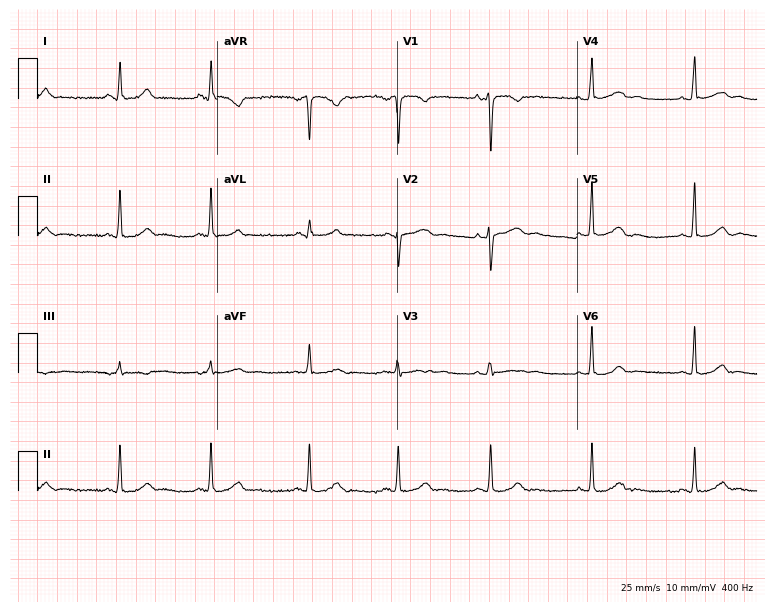
12-lead ECG from a woman, 25 years old (7.3-second recording at 400 Hz). Recorded interpretation: within normal limits.